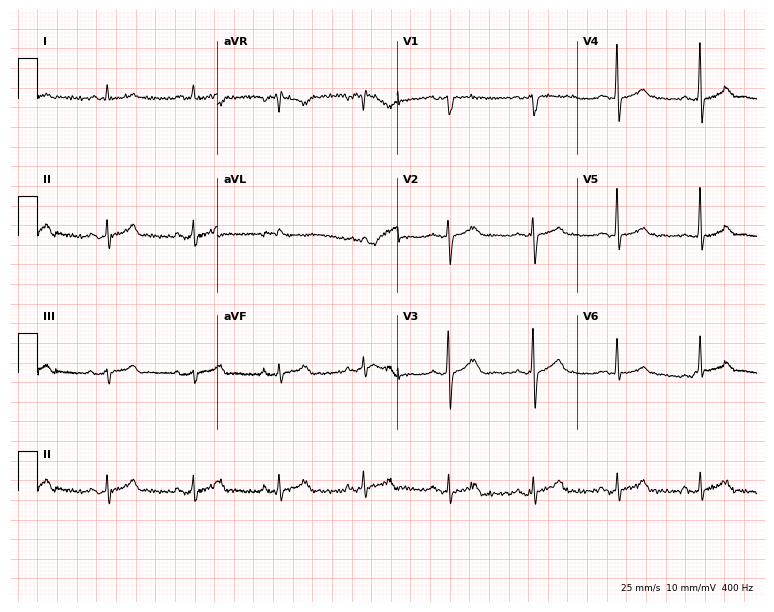
ECG — a male, 75 years old. Labelled as a normal ECG.